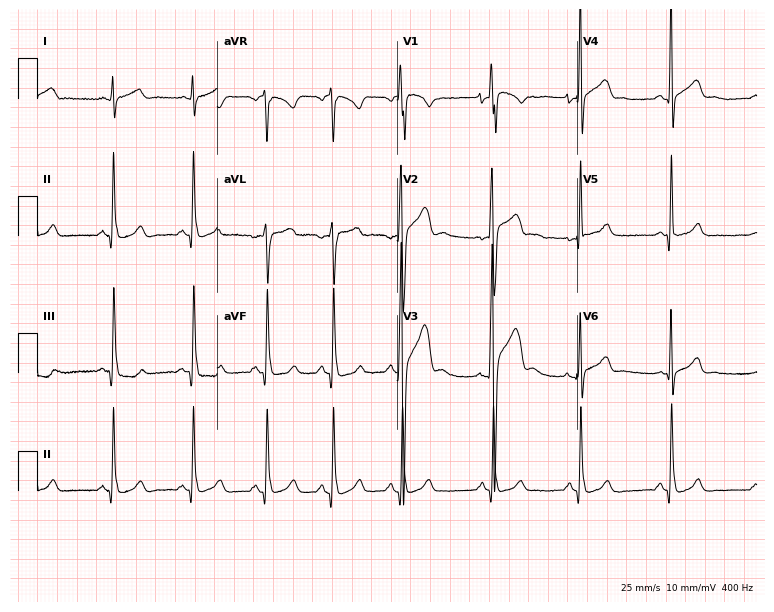
12-lead ECG (7.3-second recording at 400 Hz) from a male, 22 years old. Labelled as a normal ECG.